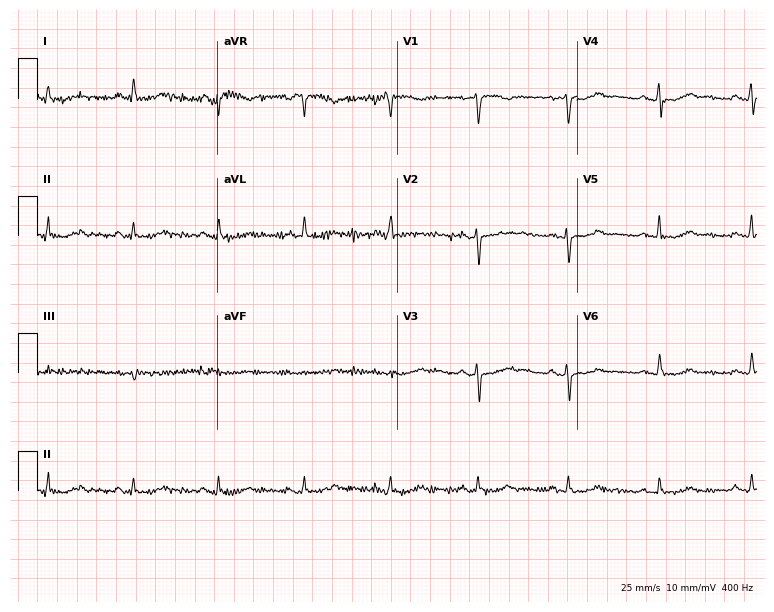
Electrocardiogram, a 52-year-old female. Overall reading on record: normal ECG.